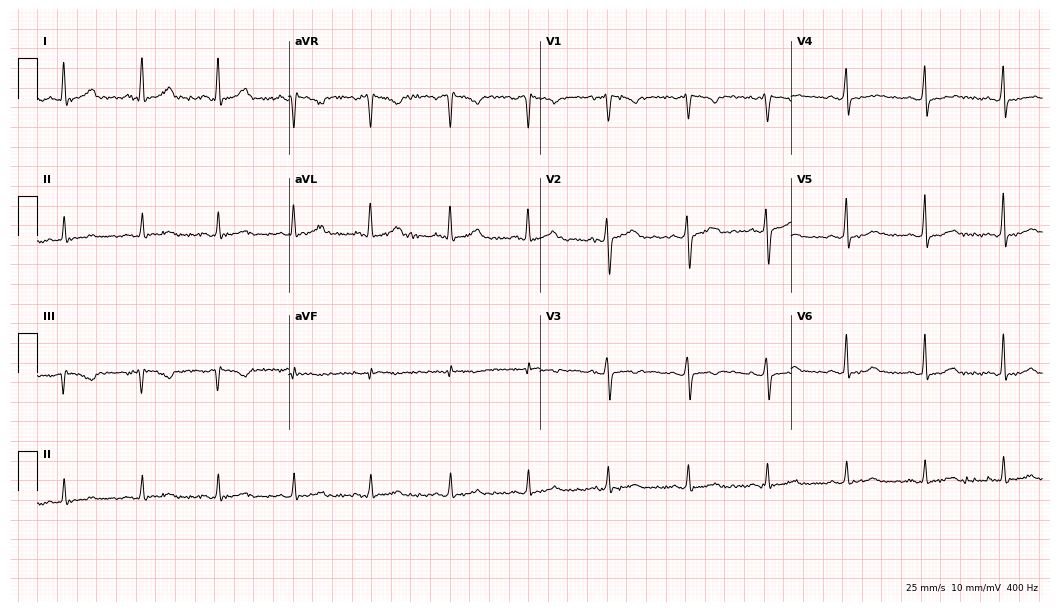
12-lead ECG (10.2-second recording at 400 Hz) from a 37-year-old female patient. Screened for six findings — first-degree AV block, right bundle branch block, left bundle branch block, sinus bradycardia, atrial fibrillation, sinus tachycardia — none is recorded. Findings outside these six are not listed.